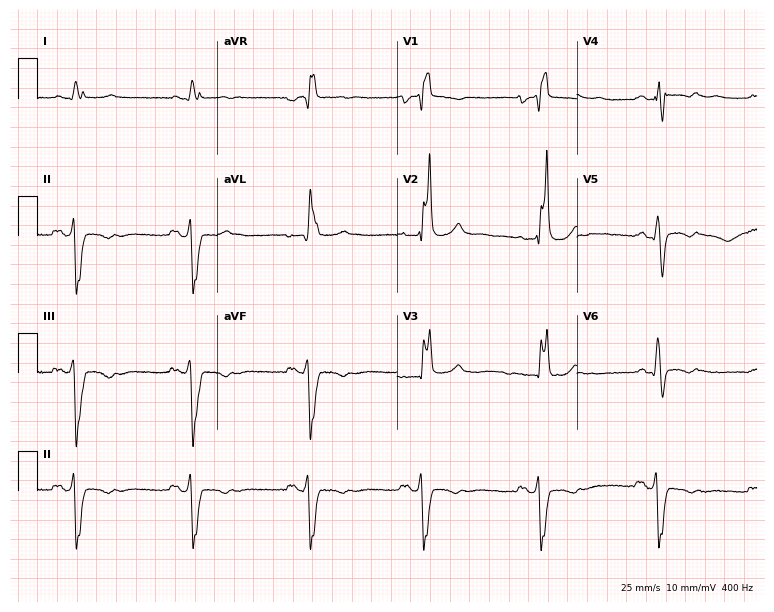
Standard 12-lead ECG recorded from a 59-year-old male patient. The tracing shows right bundle branch block.